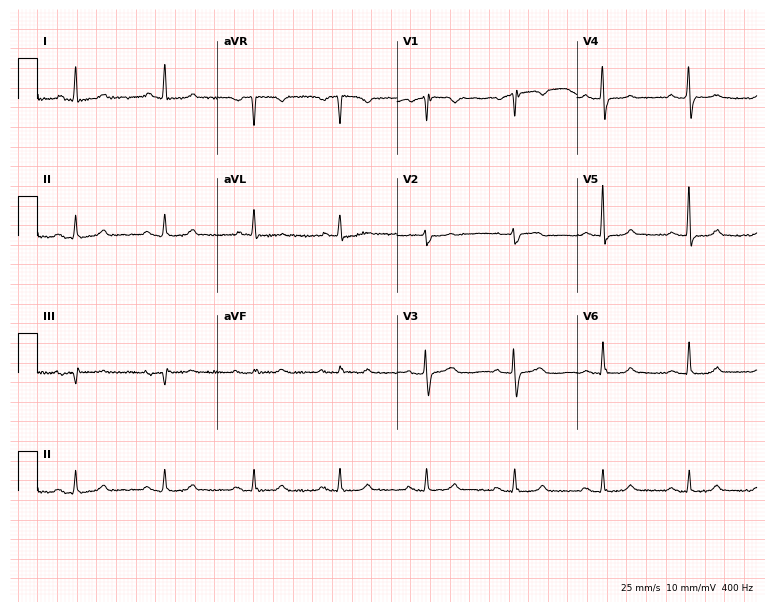
Resting 12-lead electrocardiogram. Patient: a female, 82 years old. Read as a normal ECG.